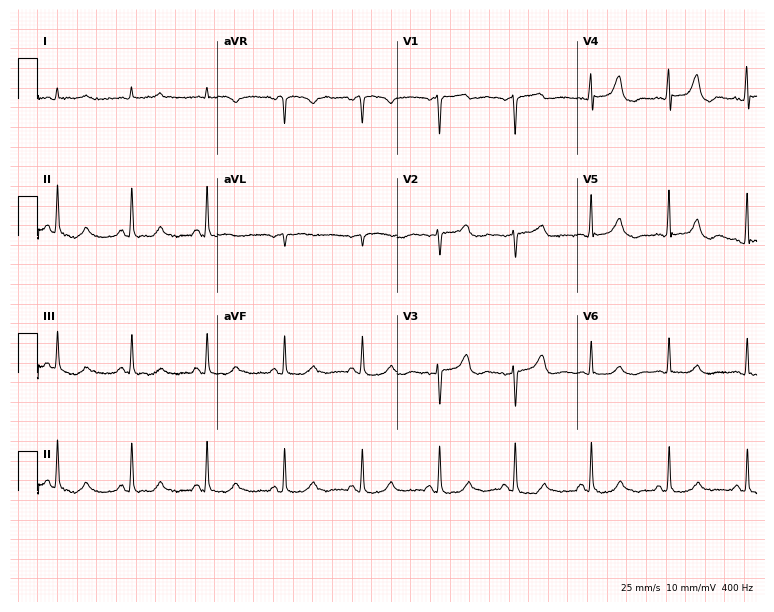
Resting 12-lead electrocardiogram. Patient: a man, 82 years old. None of these six findings is recorded: first-degree AV block, right bundle branch block, left bundle branch block, sinus bradycardia, atrial fibrillation, sinus tachycardia.